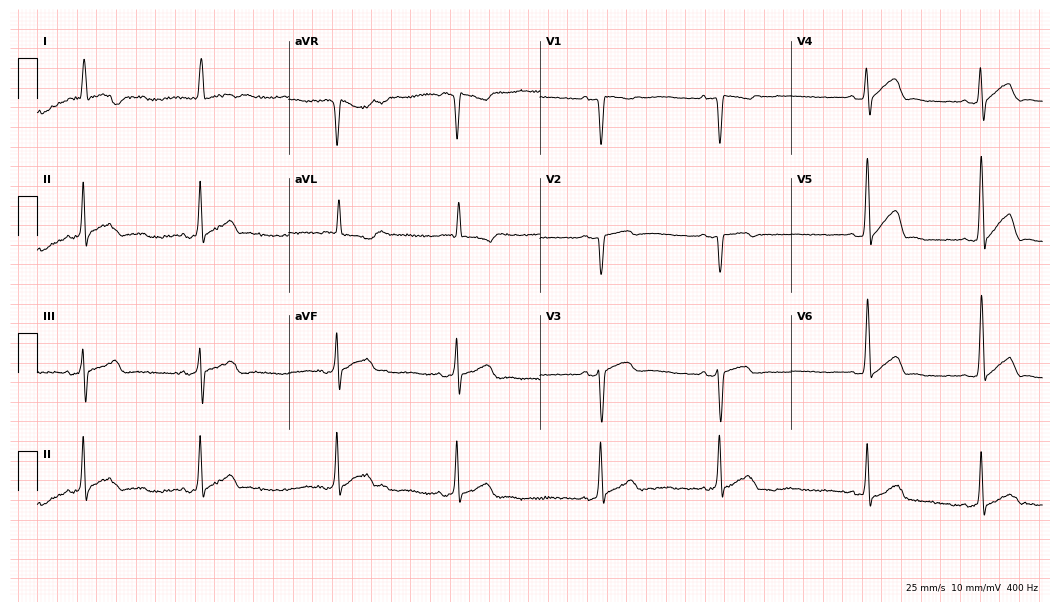
Resting 12-lead electrocardiogram (10.2-second recording at 400 Hz). Patient: an 85-year-old female. None of these six findings is recorded: first-degree AV block, right bundle branch block (RBBB), left bundle branch block (LBBB), sinus bradycardia, atrial fibrillation (AF), sinus tachycardia.